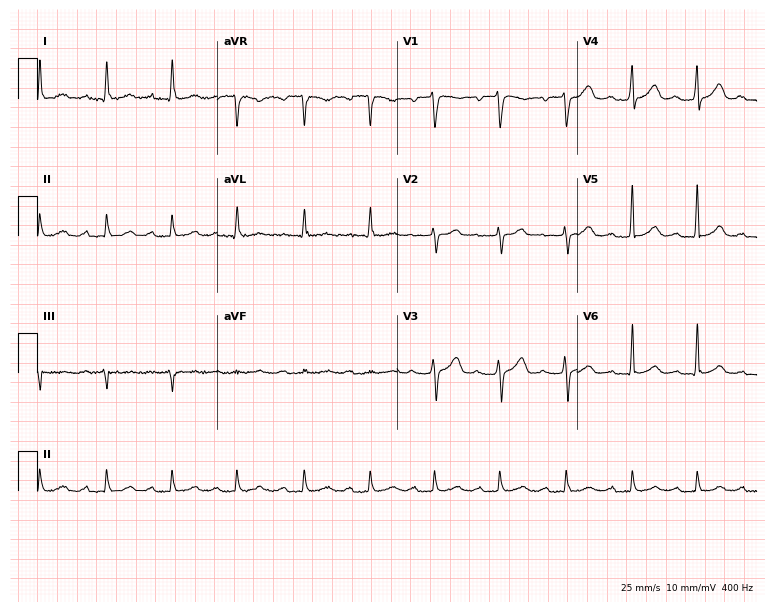
12-lead ECG from a 71-year-old man. Shows first-degree AV block.